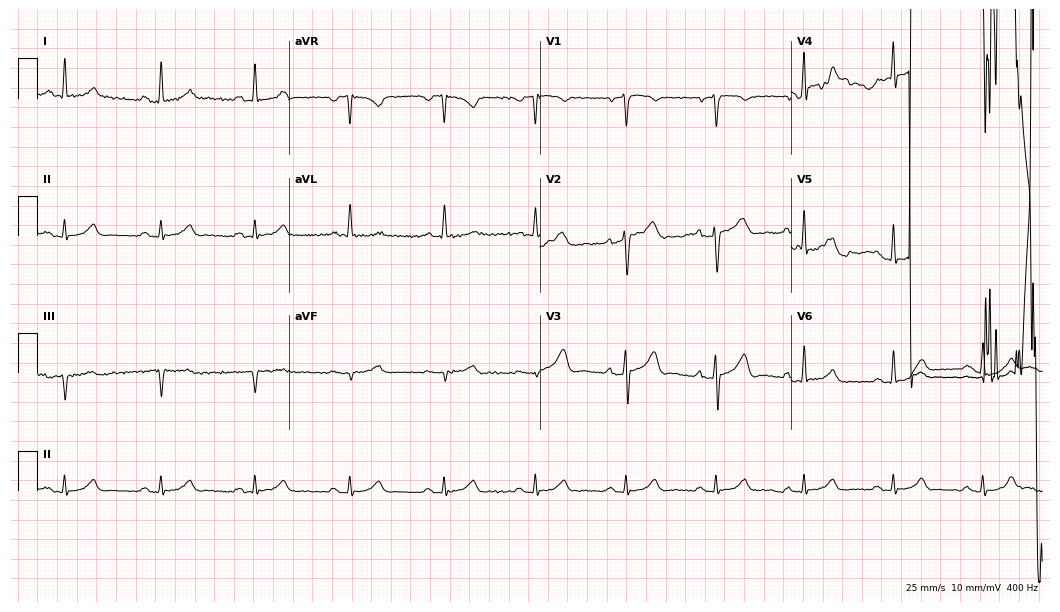
Standard 12-lead ECG recorded from a male patient, 54 years old. Read as a normal ECG.